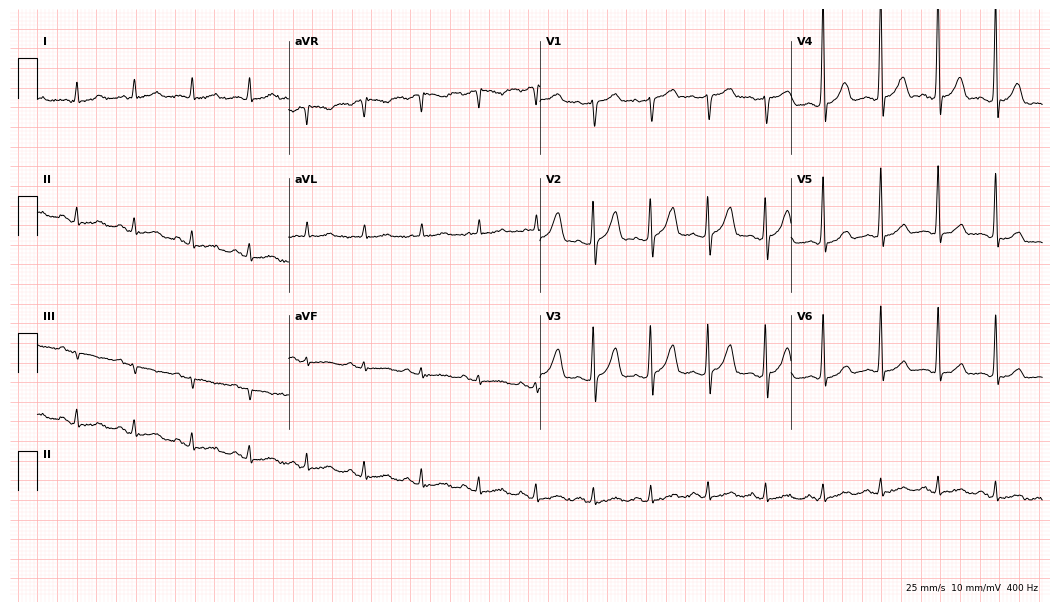
ECG (10.2-second recording at 400 Hz) — an 81-year-old male. Screened for six findings — first-degree AV block, right bundle branch block (RBBB), left bundle branch block (LBBB), sinus bradycardia, atrial fibrillation (AF), sinus tachycardia — none is recorded.